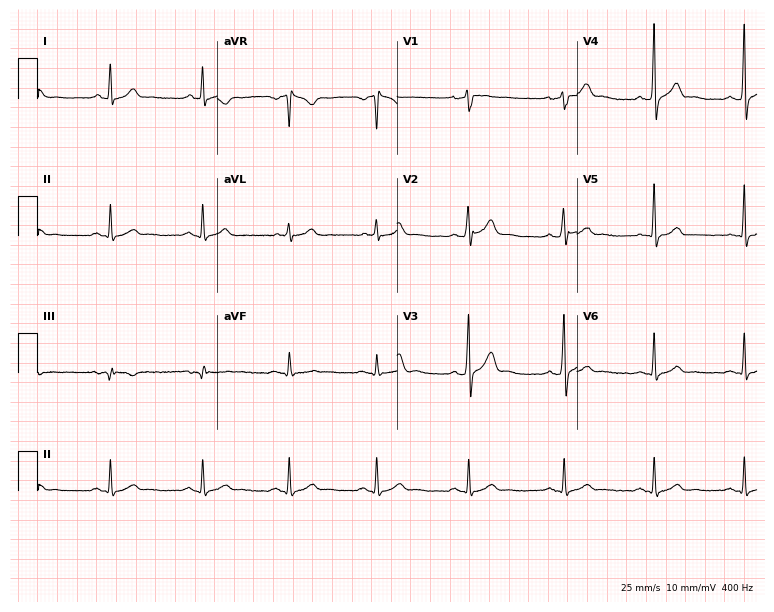
ECG (7.3-second recording at 400 Hz) — a male patient, 34 years old. Labelled as a normal ECG.